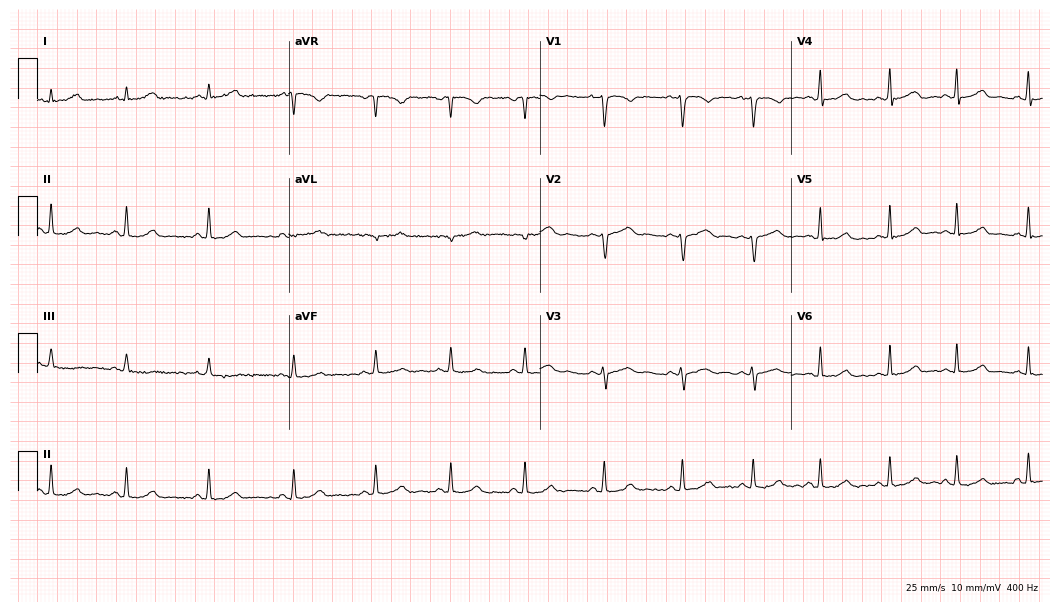
Electrocardiogram, a female, 29 years old. Of the six screened findings (first-degree AV block, right bundle branch block, left bundle branch block, sinus bradycardia, atrial fibrillation, sinus tachycardia), none is recorded. Only these six findings were labelled.